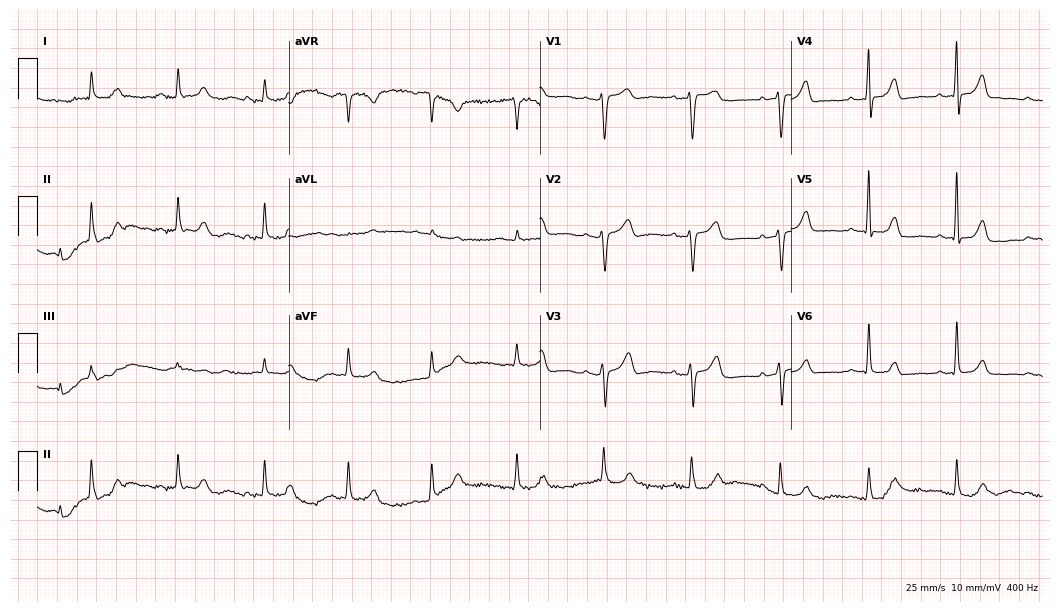
12-lead ECG (10.2-second recording at 400 Hz) from a 62-year-old female patient. Labelled as a normal ECG.